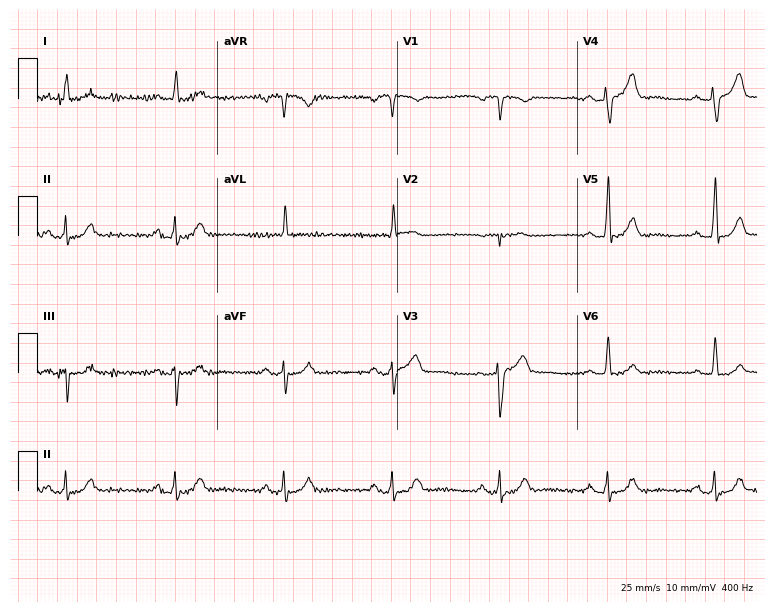
Standard 12-lead ECG recorded from a man, 79 years old. None of these six findings is recorded: first-degree AV block, right bundle branch block, left bundle branch block, sinus bradycardia, atrial fibrillation, sinus tachycardia.